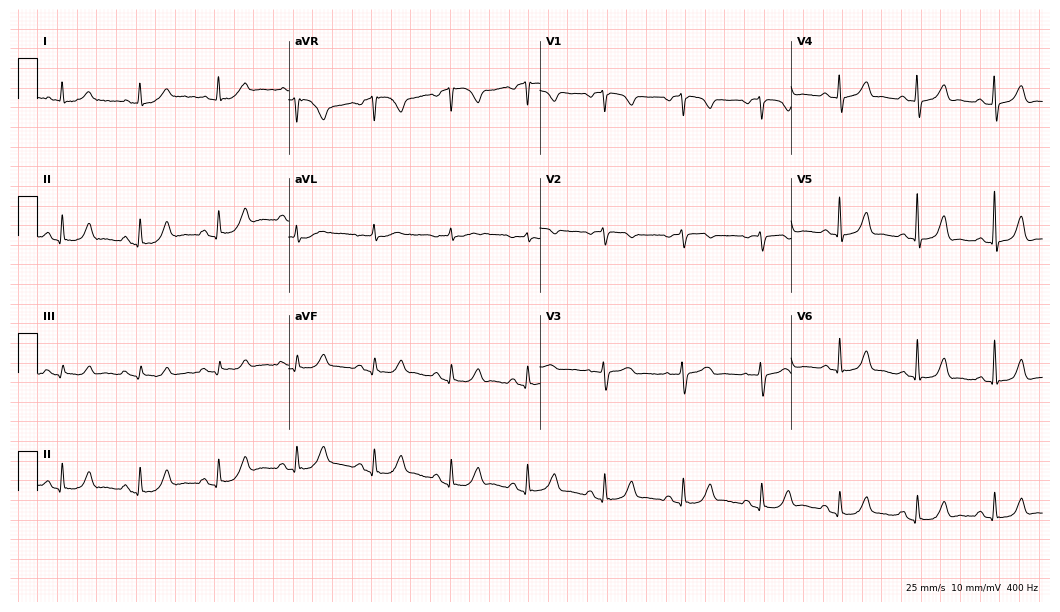
Electrocardiogram, a 77-year-old female patient. Overall reading on record: normal ECG.